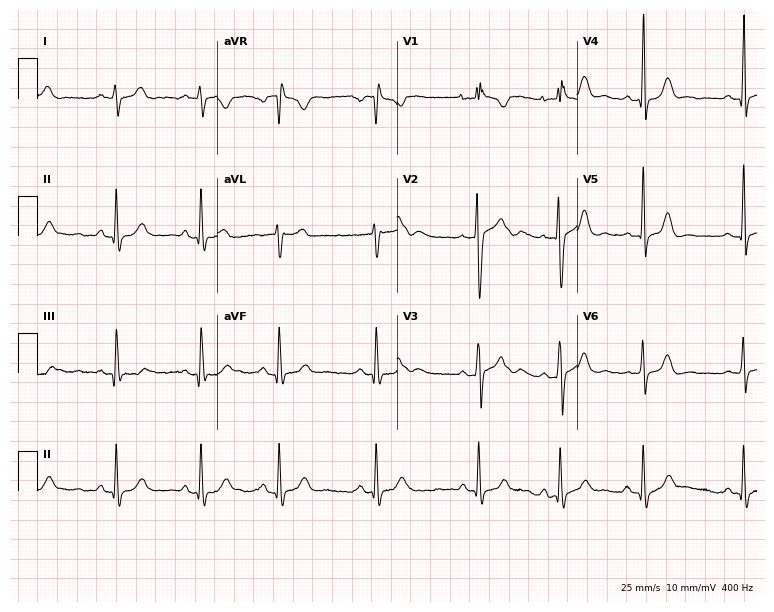
12-lead ECG from a male patient, 25 years old (7.3-second recording at 400 Hz). Recorded interpretation: within normal limits.